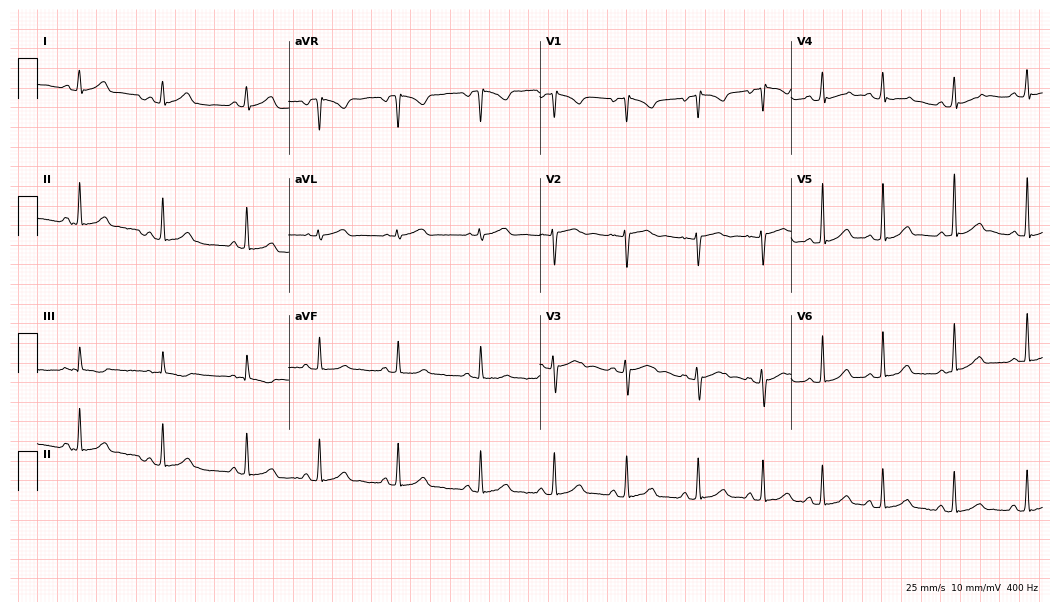
12-lead ECG from a 20-year-old woman. Recorded interpretation: within normal limits.